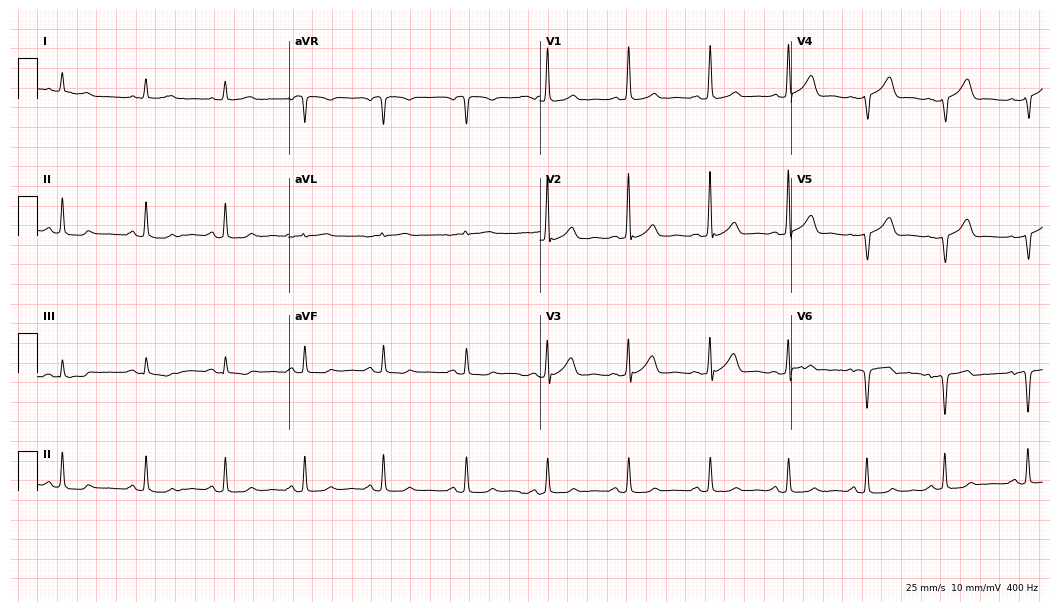
Standard 12-lead ECG recorded from a male patient, 71 years old (10.2-second recording at 400 Hz). None of these six findings is recorded: first-degree AV block, right bundle branch block (RBBB), left bundle branch block (LBBB), sinus bradycardia, atrial fibrillation (AF), sinus tachycardia.